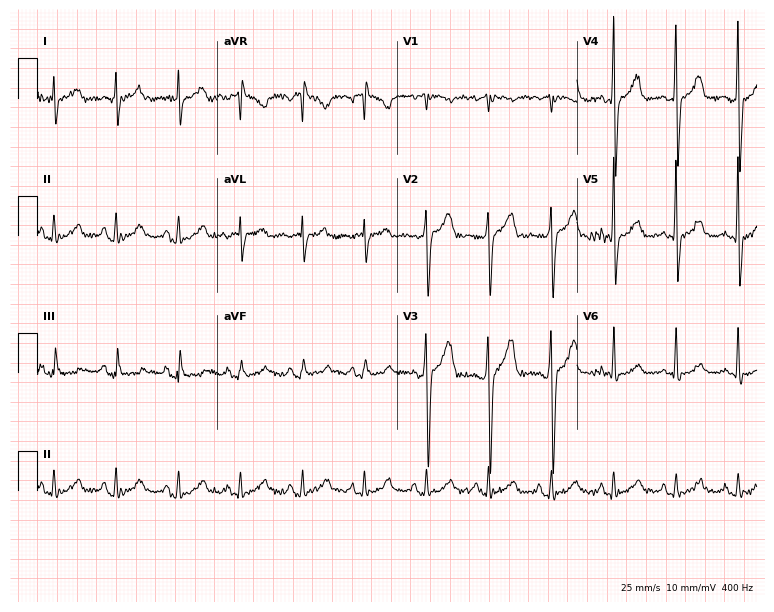
Resting 12-lead electrocardiogram (7.3-second recording at 400 Hz). Patient: a 55-year-old man. Read as a normal ECG.